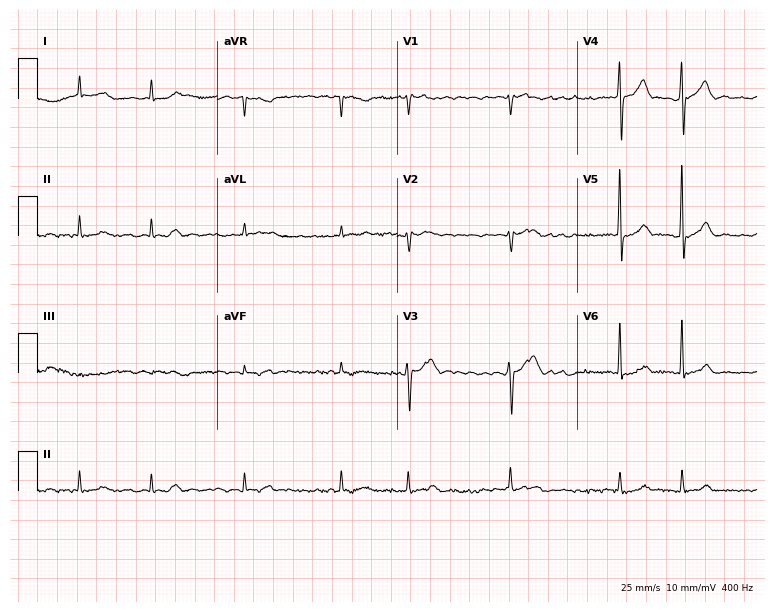
Resting 12-lead electrocardiogram (7.3-second recording at 400 Hz). Patient: a male, 79 years old. The tracing shows atrial fibrillation.